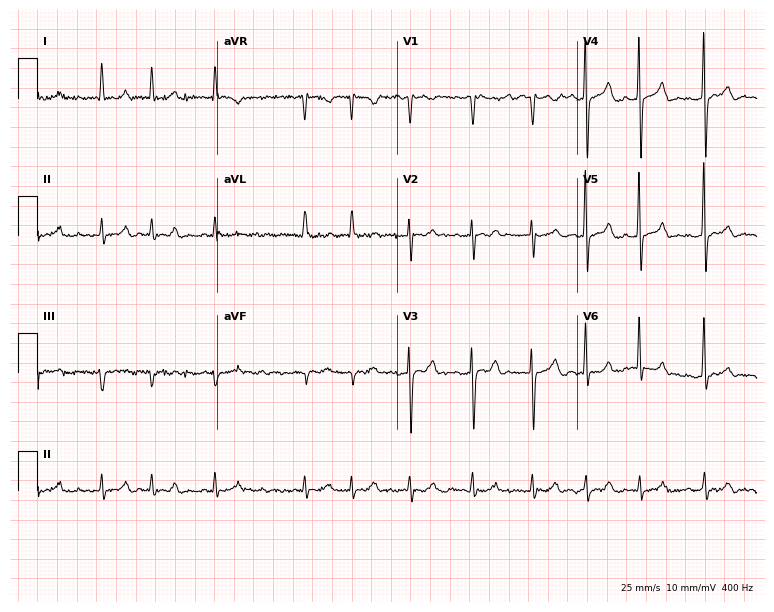
Standard 12-lead ECG recorded from a female patient, 52 years old (7.3-second recording at 400 Hz). The tracing shows atrial fibrillation.